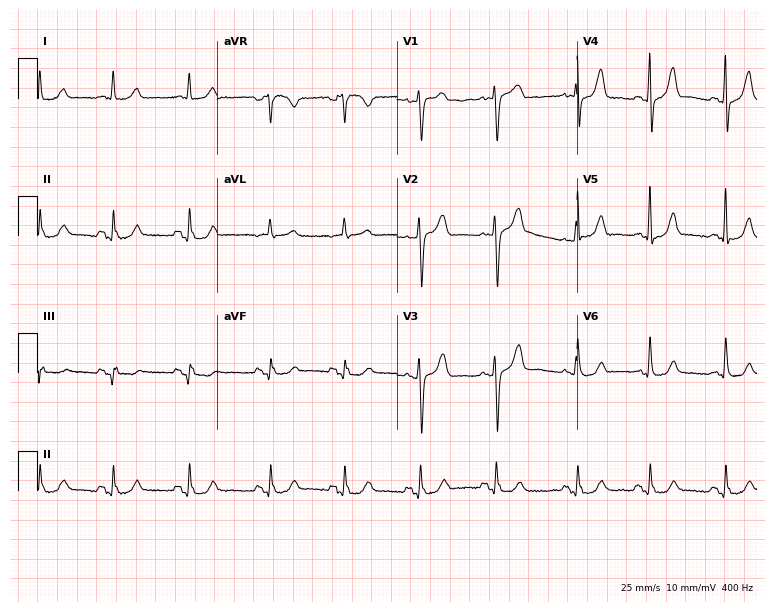
Standard 12-lead ECG recorded from a 62-year-old female. None of these six findings is recorded: first-degree AV block, right bundle branch block, left bundle branch block, sinus bradycardia, atrial fibrillation, sinus tachycardia.